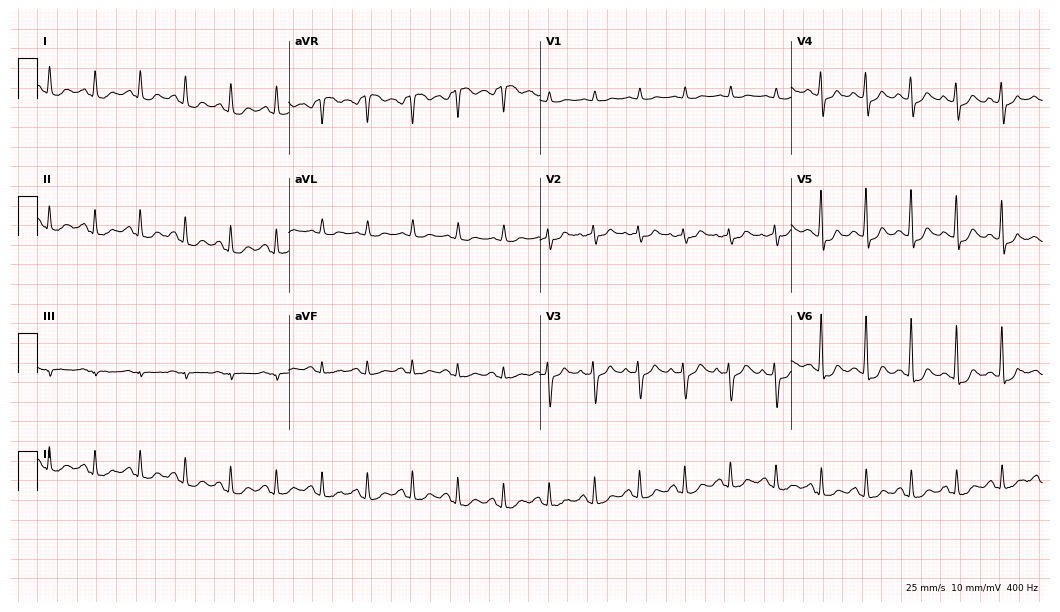
Electrocardiogram (10.2-second recording at 400 Hz), a 69-year-old female. Interpretation includes sinus tachycardia (a sinus rate of 100 beats per minute or more).